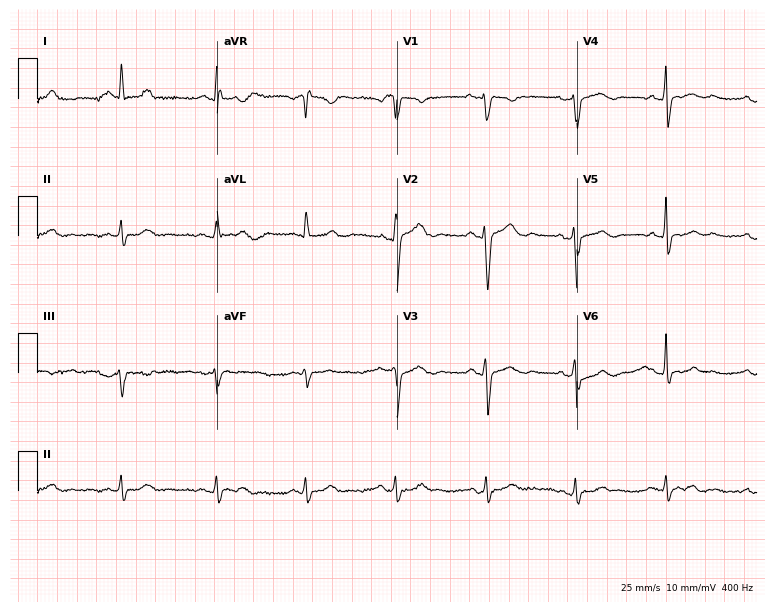
ECG (7.3-second recording at 400 Hz) — a man, 43 years old. Labelled as a normal ECG.